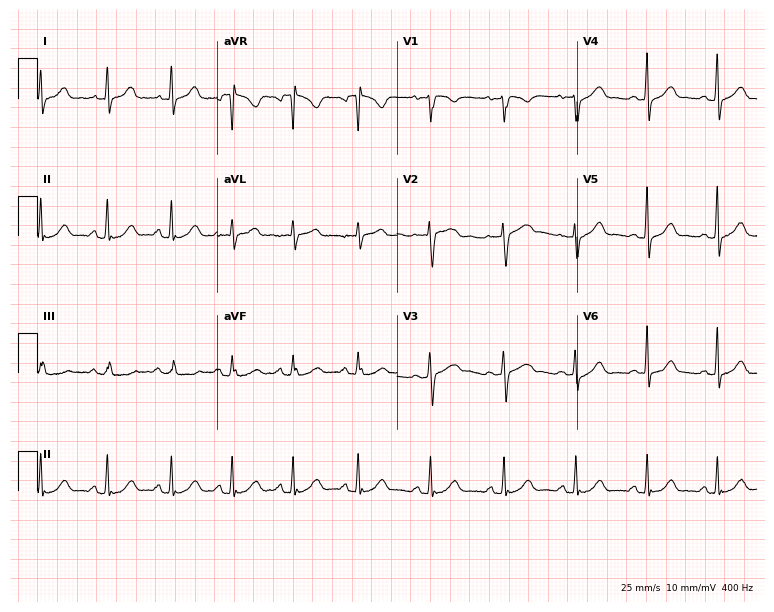
Standard 12-lead ECG recorded from a 29-year-old woman. Read as a normal ECG.